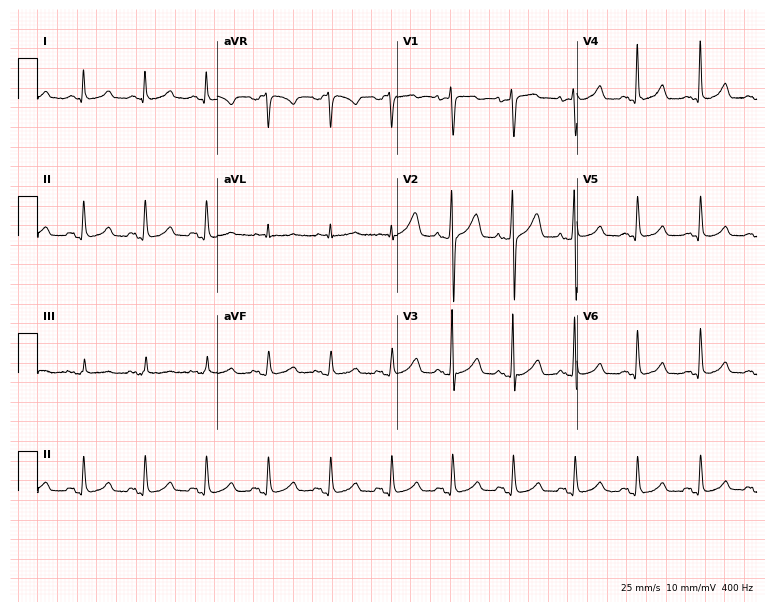
Standard 12-lead ECG recorded from a woman, 46 years old (7.3-second recording at 400 Hz). Read as a normal ECG.